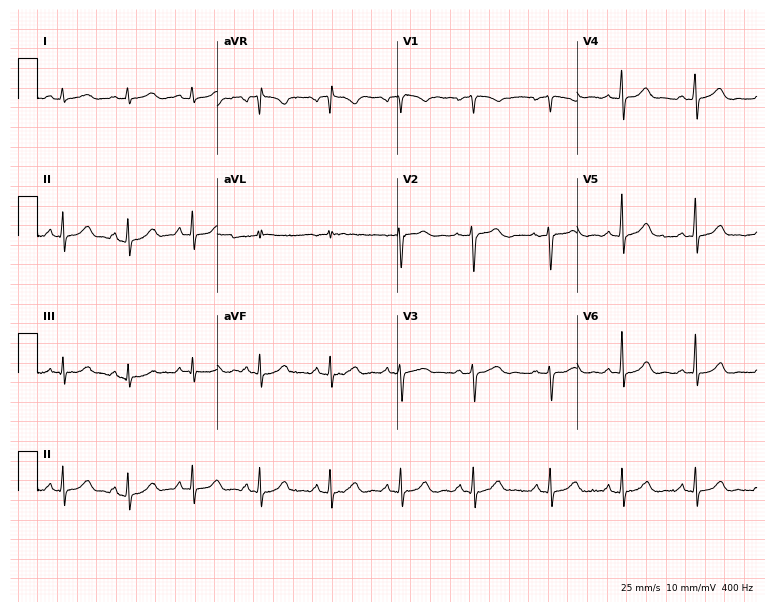
Resting 12-lead electrocardiogram. Patient: a woman, 26 years old. Read as a normal ECG.